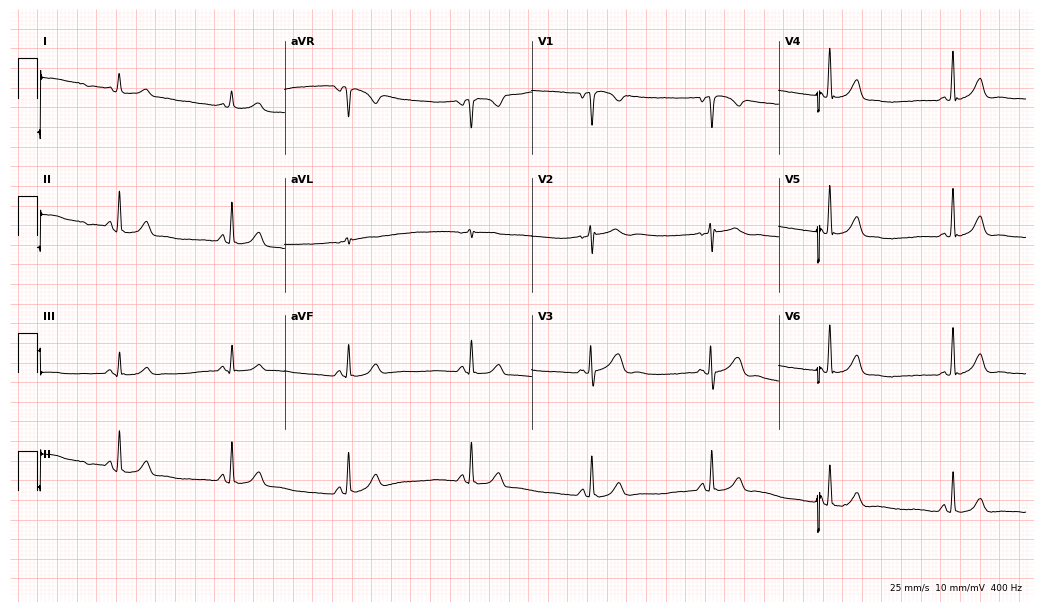
12-lead ECG from a female, 30 years old. Labelled as a normal ECG.